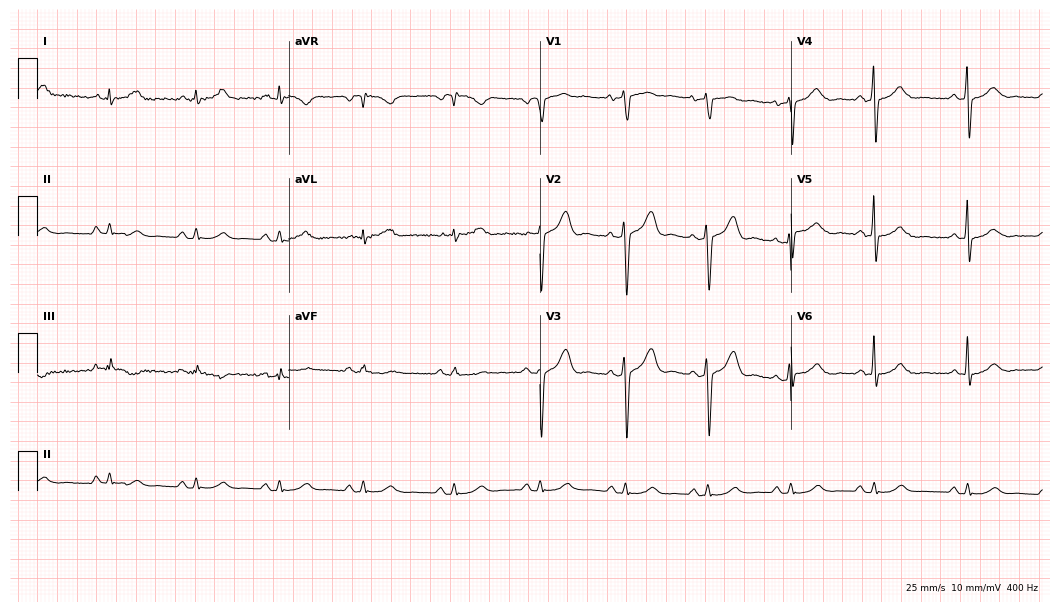
Standard 12-lead ECG recorded from a 55-year-old male. Read as a normal ECG.